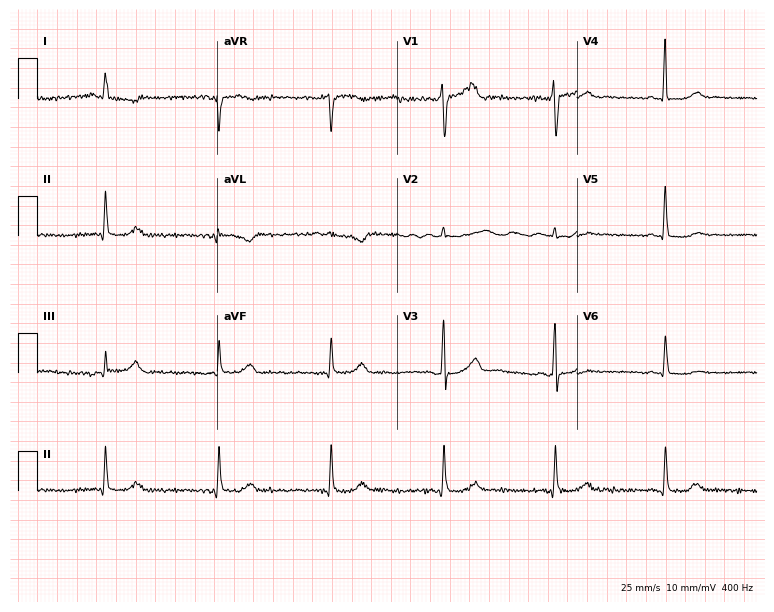
12-lead ECG from a male patient, 72 years old. No first-degree AV block, right bundle branch block (RBBB), left bundle branch block (LBBB), sinus bradycardia, atrial fibrillation (AF) or sinus tachycardia recorded for this tracing. Only these six findings were labelled.